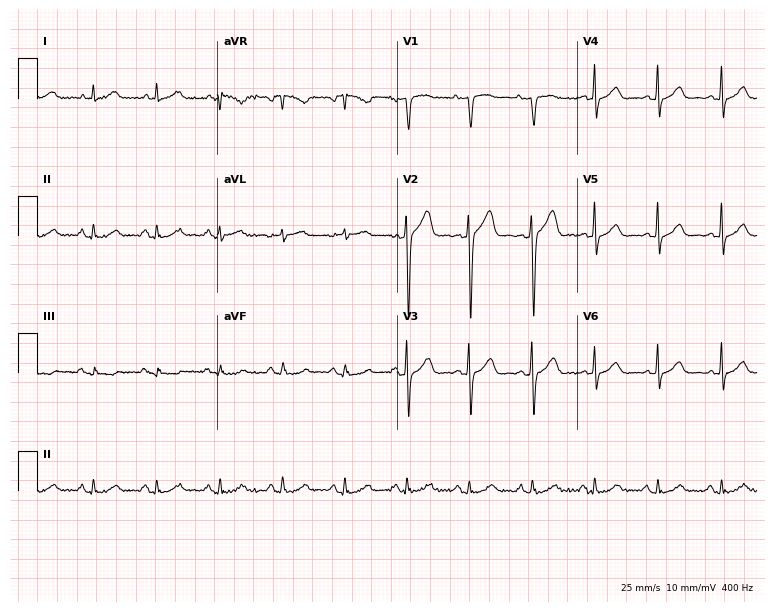
Electrocardiogram, a man, 55 years old. Of the six screened findings (first-degree AV block, right bundle branch block, left bundle branch block, sinus bradycardia, atrial fibrillation, sinus tachycardia), none is recorded.